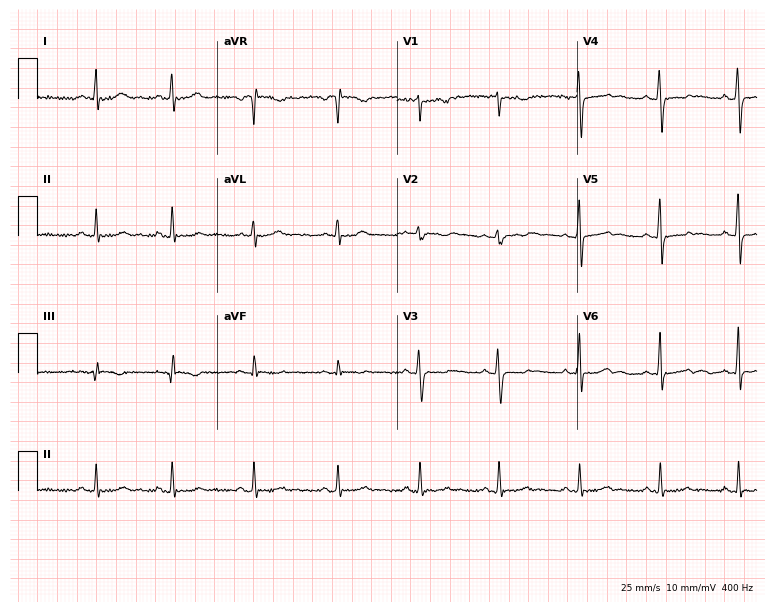
Electrocardiogram (7.3-second recording at 400 Hz), a 40-year-old male. Of the six screened findings (first-degree AV block, right bundle branch block, left bundle branch block, sinus bradycardia, atrial fibrillation, sinus tachycardia), none is recorded. Other findings, if any, are not listed.